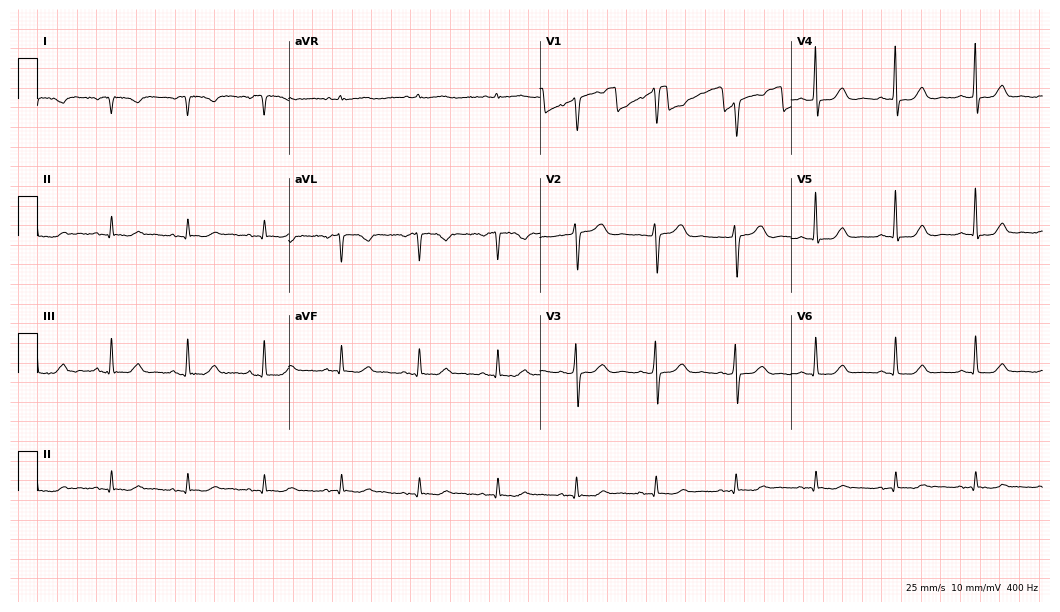
Standard 12-lead ECG recorded from a woman, 69 years old (10.2-second recording at 400 Hz). None of these six findings is recorded: first-degree AV block, right bundle branch block, left bundle branch block, sinus bradycardia, atrial fibrillation, sinus tachycardia.